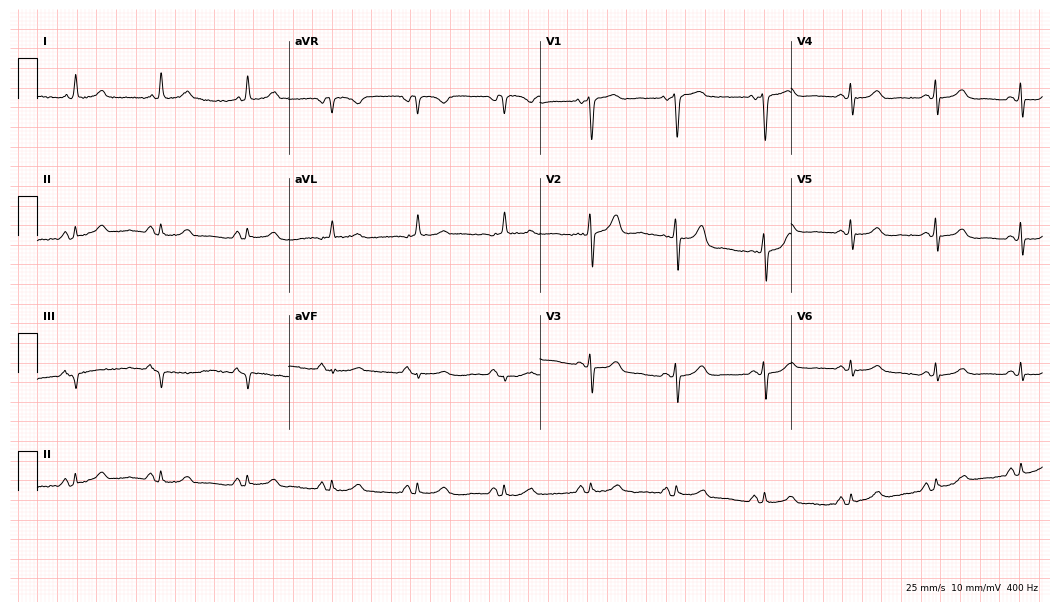
12-lead ECG from a woman, 68 years old (10.2-second recording at 400 Hz). Recorded interpretation: within normal limits.